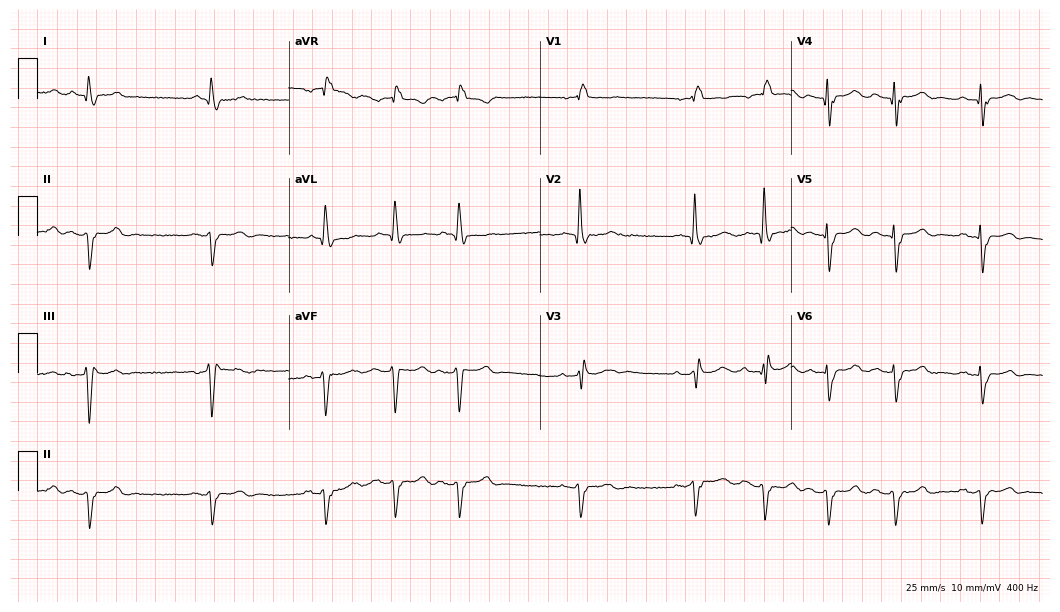
ECG (10.2-second recording at 400 Hz) — a man, 83 years old. Screened for six findings — first-degree AV block, right bundle branch block, left bundle branch block, sinus bradycardia, atrial fibrillation, sinus tachycardia — none is recorded.